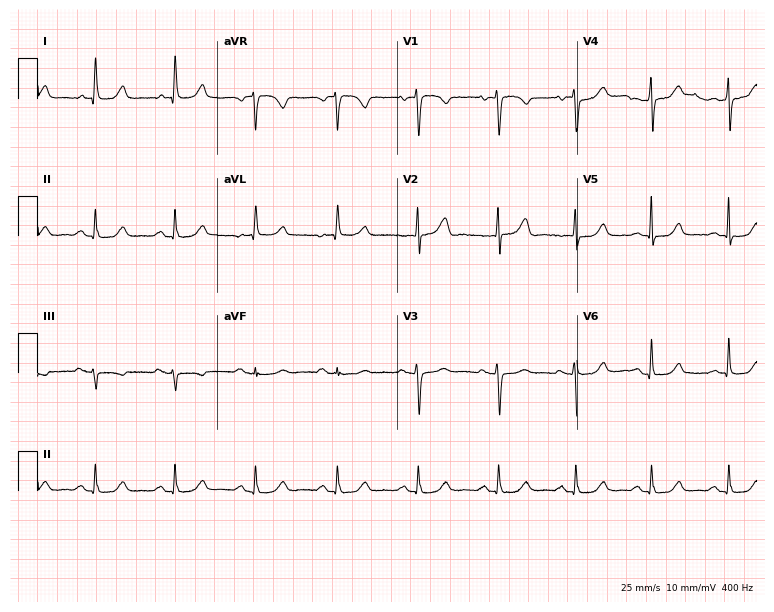
Resting 12-lead electrocardiogram (7.3-second recording at 400 Hz). Patient: a woman, 50 years old. Read as a normal ECG.